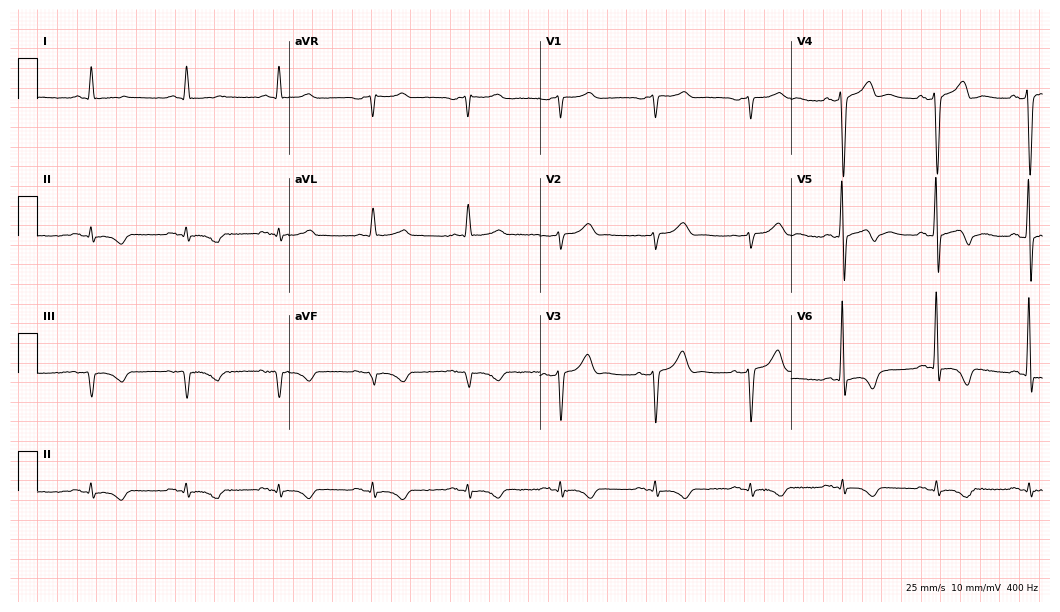
ECG (10.2-second recording at 400 Hz) — a male patient, 58 years old. Screened for six findings — first-degree AV block, right bundle branch block, left bundle branch block, sinus bradycardia, atrial fibrillation, sinus tachycardia — none is recorded.